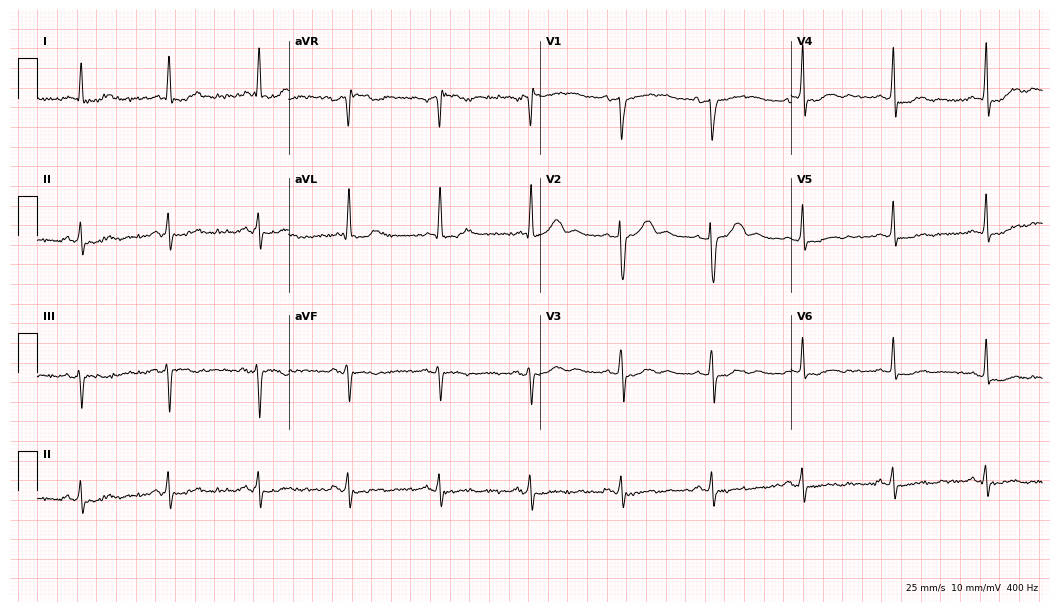
Resting 12-lead electrocardiogram. Patient: a 55-year-old woman. None of these six findings is recorded: first-degree AV block, right bundle branch block, left bundle branch block, sinus bradycardia, atrial fibrillation, sinus tachycardia.